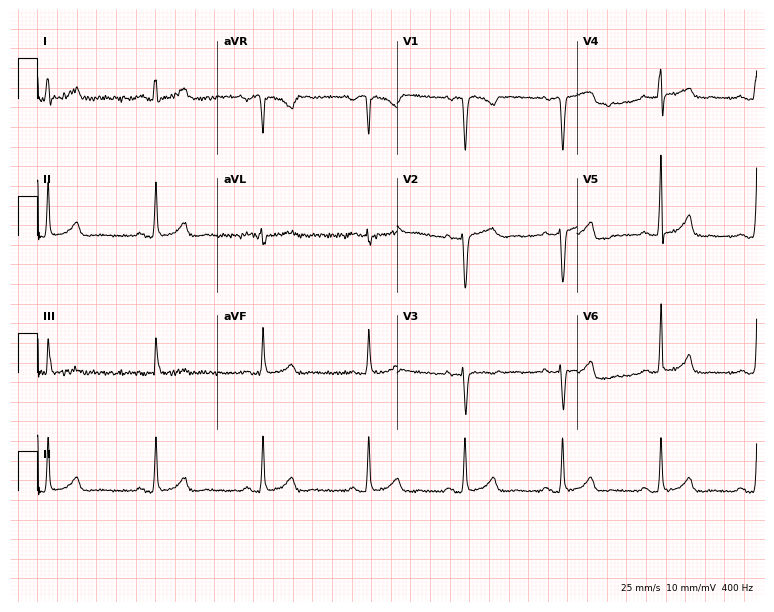
Resting 12-lead electrocardiogram (7.3-second recording at 400 Hz). Patient: a 37-year-old female. None of these six findings is recorded: first-degree AV block, right bundle branch block (RBBB), left bundle branch block (LBBB), sinus bradycardia, atrial fibrillation (AF), sinus tachycardia.